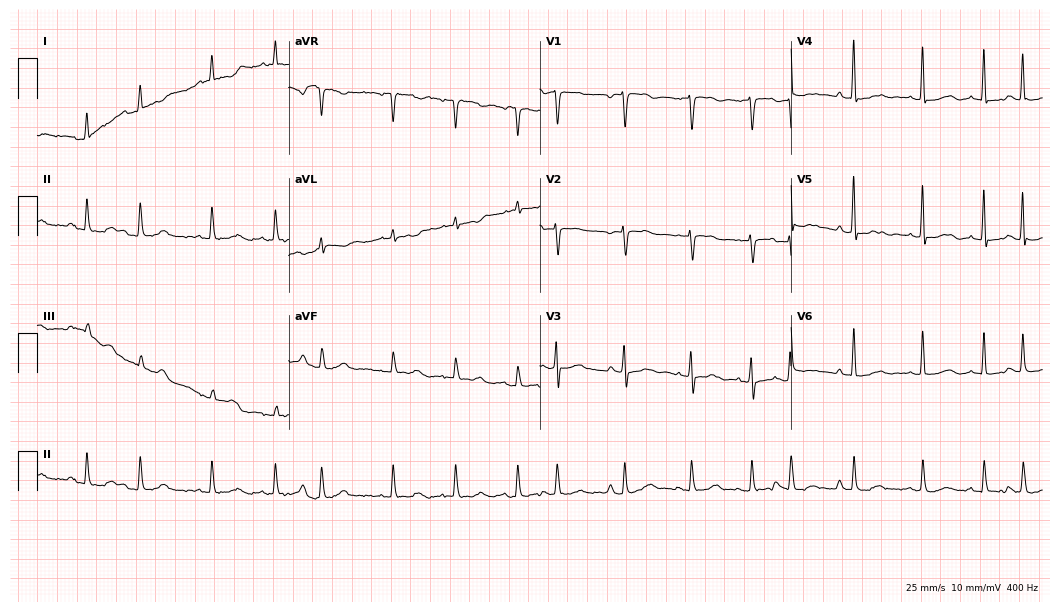
12-lead ECG from a woman, 78 years old (10.2-second recording at 400 Hz). No first-degree AV block, right bundle branch block, left bundle branch block, sinus bradycardia, atrial fibrillation or sinus tachycardia recorded for this tracing.